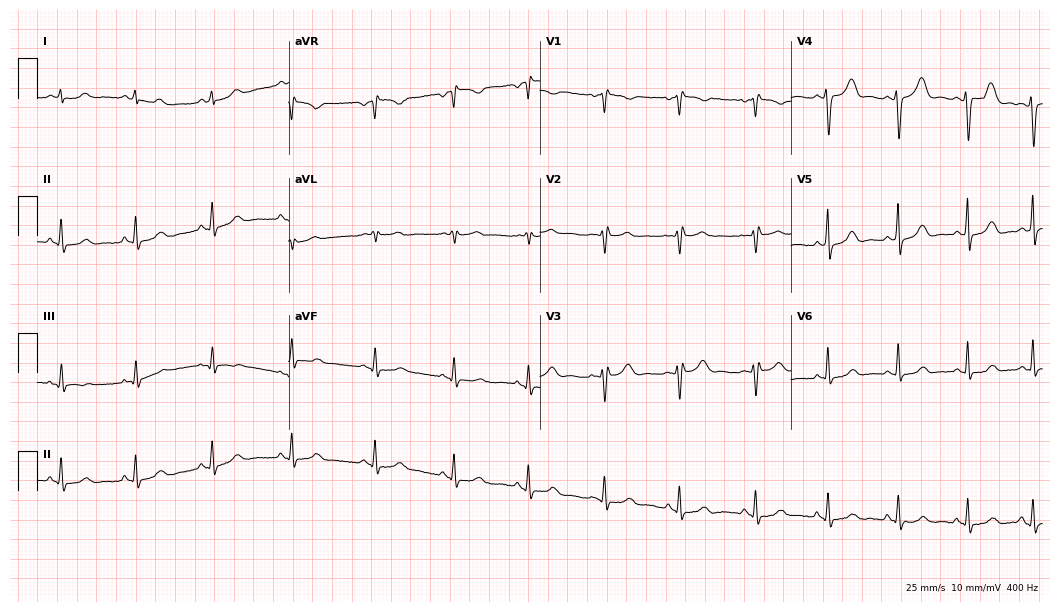
Resting 12-lead electrocardiogram. Patient: a 31-year-old woman. Read as a normal ECG.